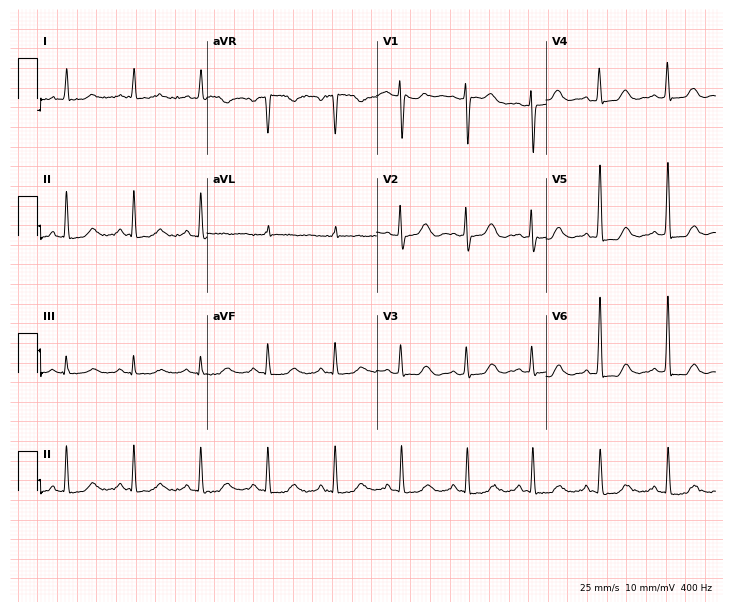
12-lead ECG (6.9-second recording at 400 Hz) from a female, 82 years old. Labelled as a normal ECG.